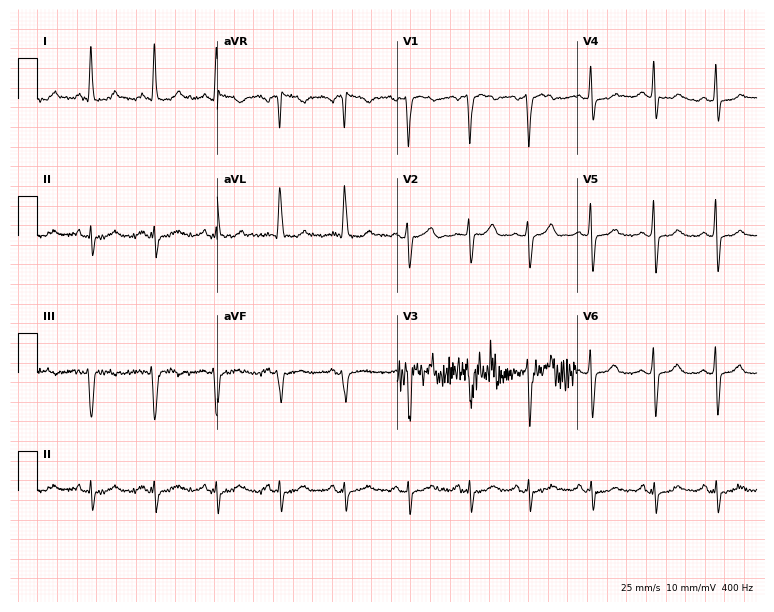
12-lead ECG (7.3-second recording at 400 Hz) from a 58-year-old woman. Screened for six findings — first-degree AV block, right bundle branch block, left bundle branch block, sinus bradycardia, atrial fibrillation, sinus tachycardia — none is recorded.